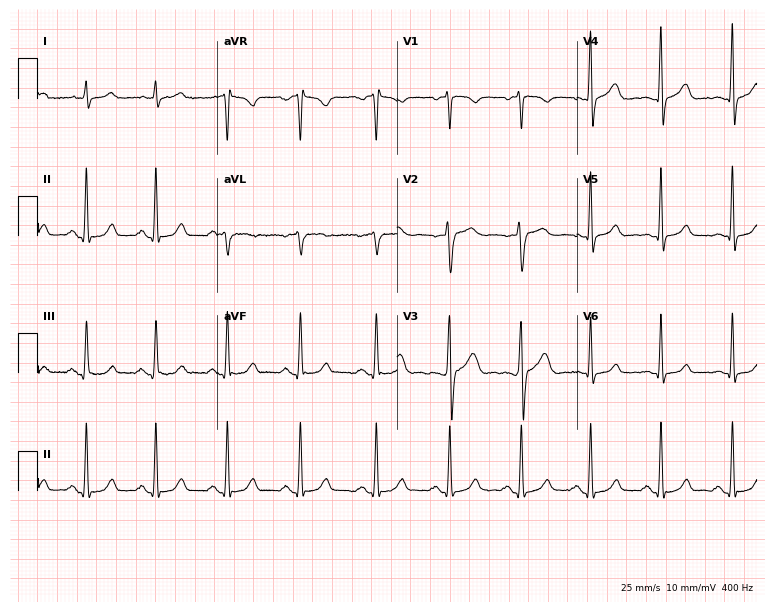
Resting 12-lead electrocardiogram. Patient: a 31-year-old male. Read as a normal ECG.